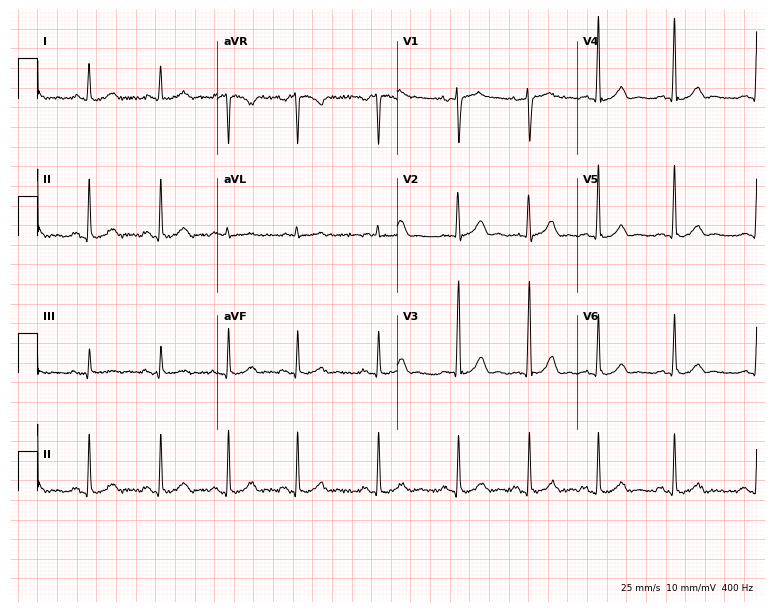
Electrocardiogram, a woman, 47 years old. Overall reading on record: normal ECG.